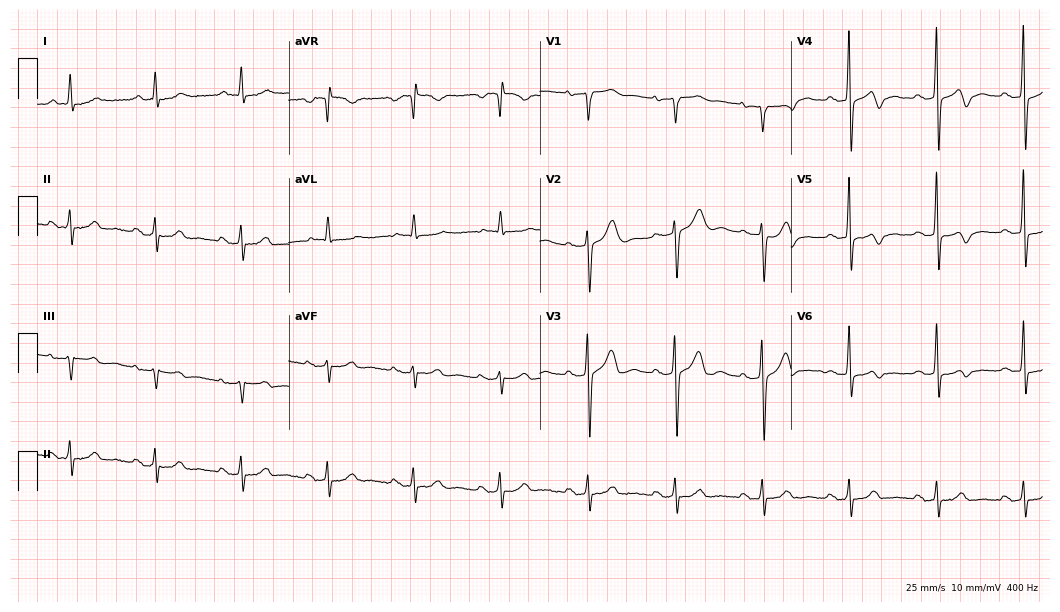
12-lead ECG (10.2-second recording at 400 Hz) from a 70-year-old male patient. Screened for six findings — first-degree AV block, right bundle branch block (RBBB), left bundle branch block (LBBB), sinus bradycardia, atrial fibrillation (AF), sinus tachycardia — none is recorded. Other findings, if any, are not listed.